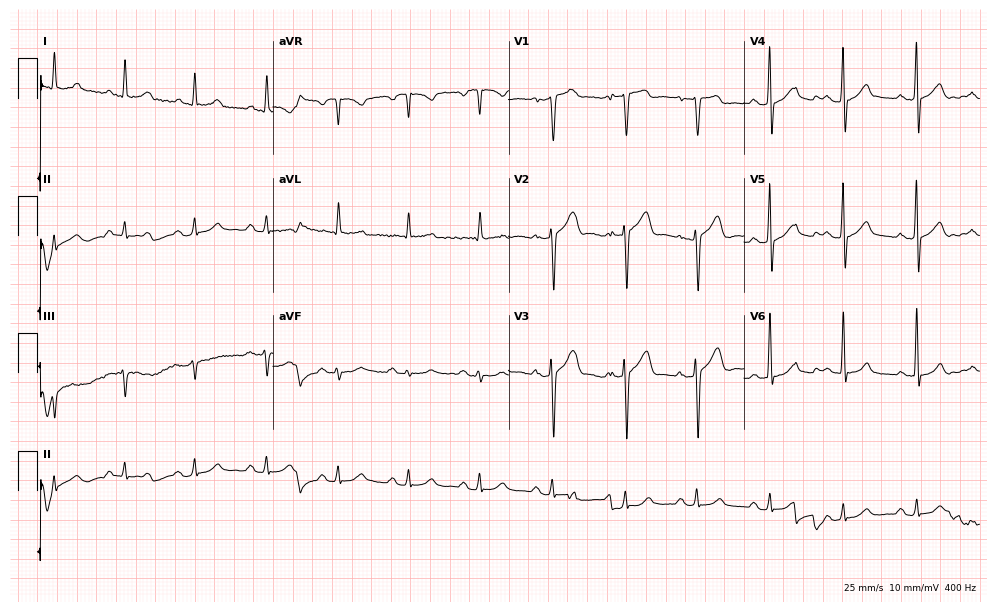
Electrocardiogram, a 49-year-old man. Of the six screened findings (first-degree AV block, right bundle branch block (RBBB), left bundle branch block (LBBB), sinus bradycardia, atrial fibrillation (AF), sinus tachycardia), none is recorded.